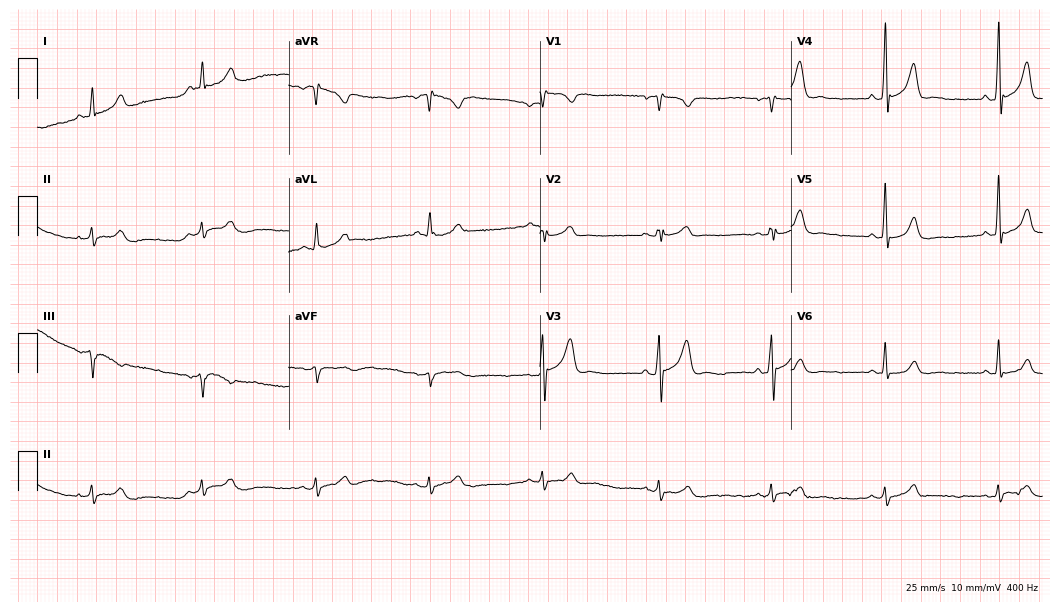
Standard 12-lead ECG recorded from a male, 53 years old (10.2-second recording at 400 Hz). None of these six findings is recorded: first-degree AV block, right bundle branch block, left bundle branch block, sinus bradycardia, atrial fibrillation, sinus tachycardia. Other findings, if any, are not listed.